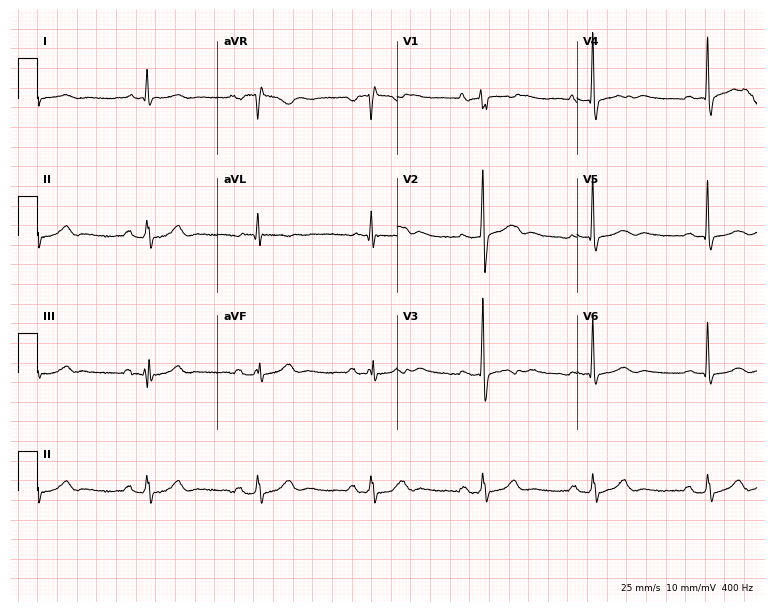
Standard 12-lead ECG recorded from a man, 79 years old. None of these six findings is recorded: first-degree AV block, right bundle branch block, left bundle branch block, sinus bradycardia, atrial fibrillation, sinus tachycardia. Only these six findings were labelled.